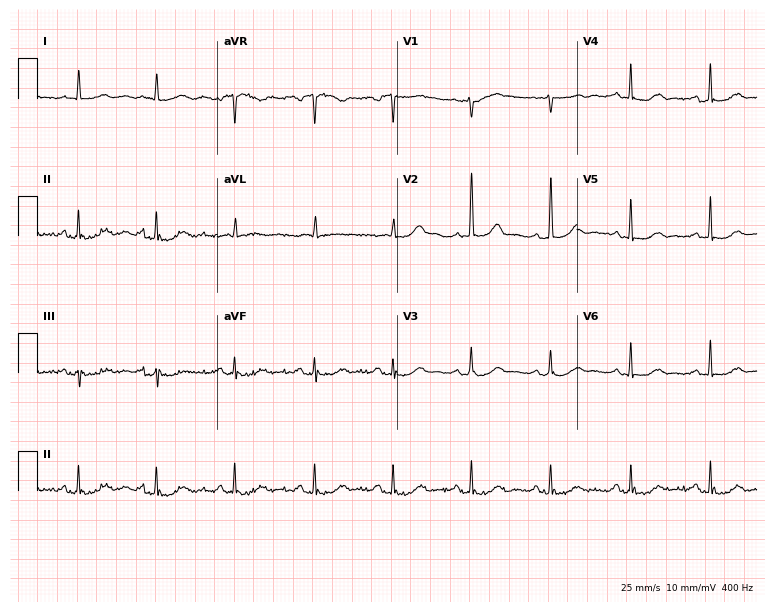
Electrocardiogram (7.3-second recording at 400 Hz), a 75-year-old male patient. Overall reading on record: normal ECG.